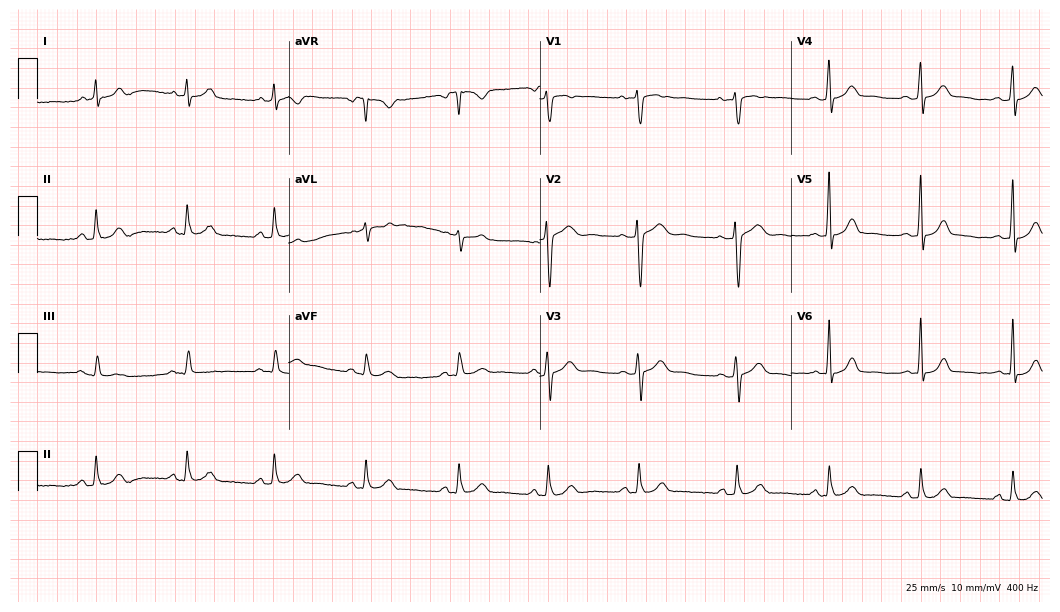
12-lead ECG from a 37-year-old man. Labelled as a normal ECG.